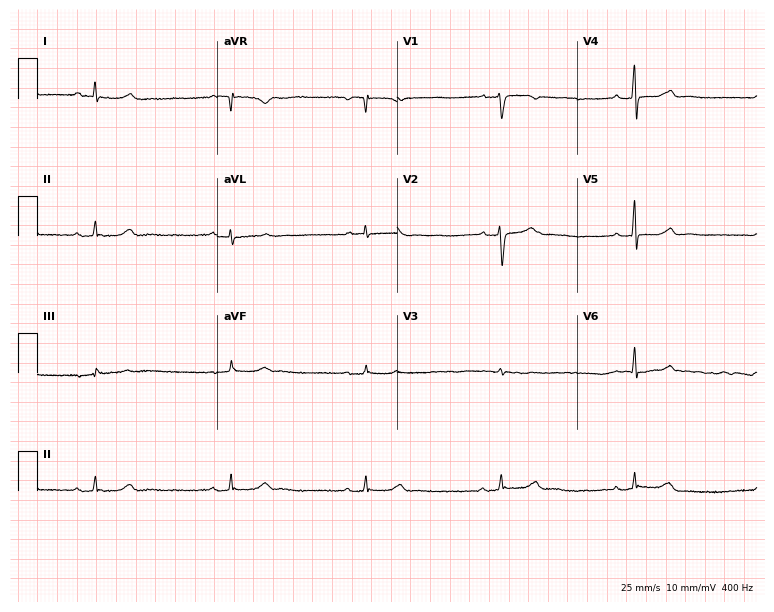
Electrocardiogram (7.3-second recording at 400 Hz), a female patient, 57 years old. Interpretation includes sinus bradycardia (a sinus rate of 50 beats per minute or less).